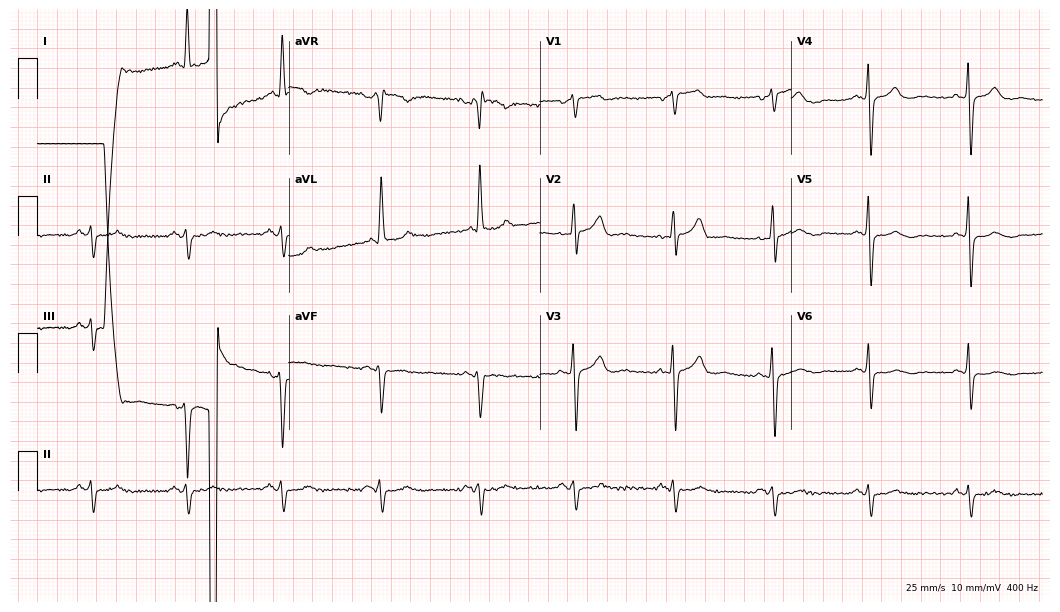
Resting 12-lead electrocardiogram. Patient: a male, 80 years old. None of these six findings is recorded: first-degree AV block, right bundle branch block (RBBB), left bundle branch block (LBBB), sinus bradycardia, atrial fibrillation (AF), sinus tachycardia.